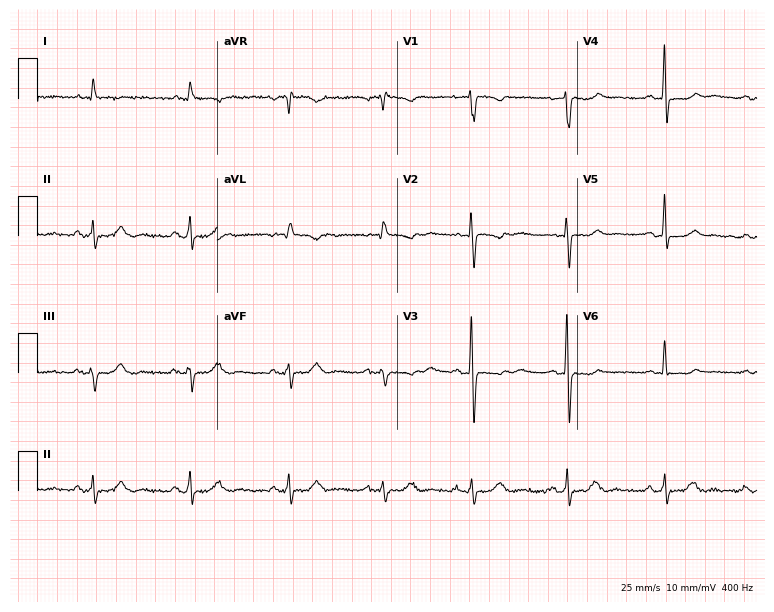
12-lead ECG (7.3-second recording at 400 Hz) from a woman, 73 years old. Screened for six findings — first-degree AV block, right bundle branch block, left bundle branch block, sinus bradycardia, atrial fibrillation, sinus tachycardia — none is recorded.